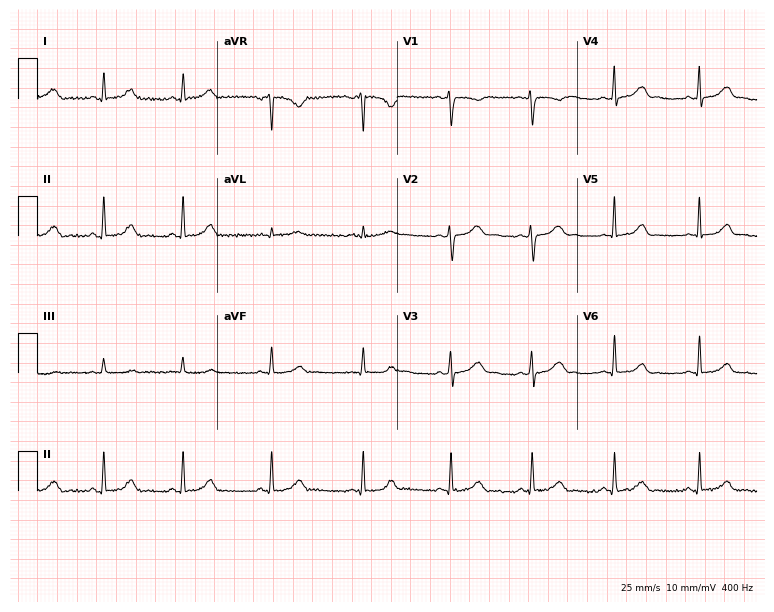
Resting 12-lead electrocardiogram (7.3-second recording at 400 Hz). Patient: a female, 28 years old. Read as a normal ECG.